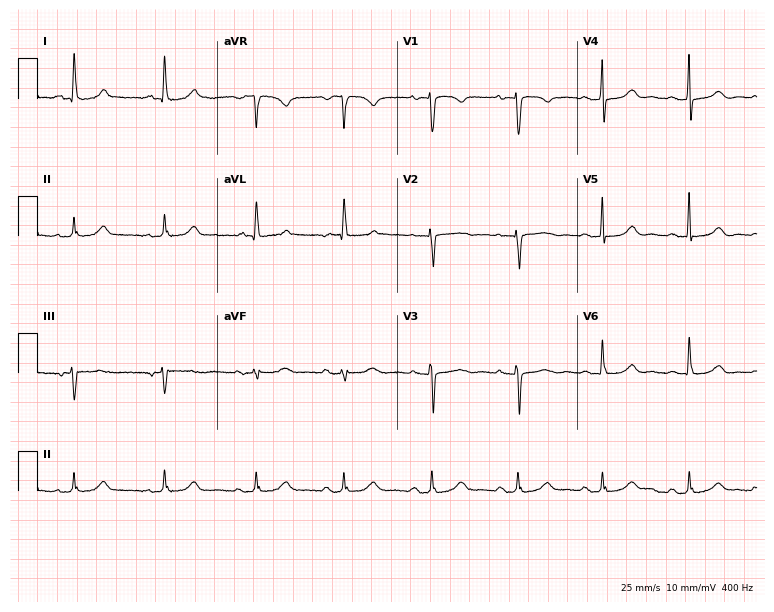
Electrocardiogram (7.3-second recording at 400 Hz), a woman, 66 years old. Overall reading on record: normal ECG.